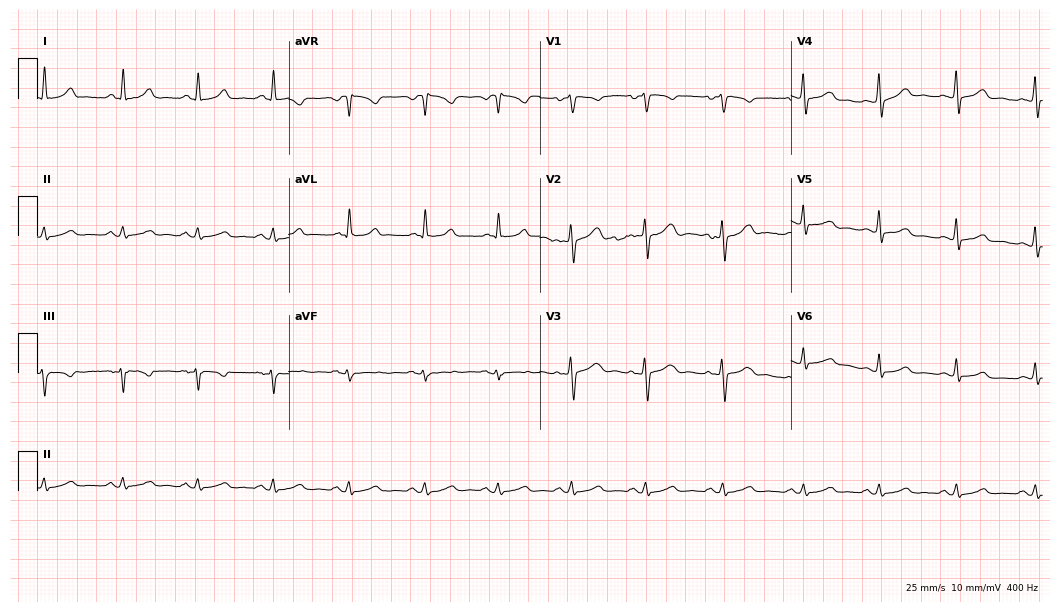
Standard 12-lead ECG recorded from a female, 54 years old. None of these six findings is recorded: first-degree AV block, right bundle branch block, left bundle branch block, sinus bradycardia, atrial fibrillation, sinus tachycardia. Only these six findings were labelled.